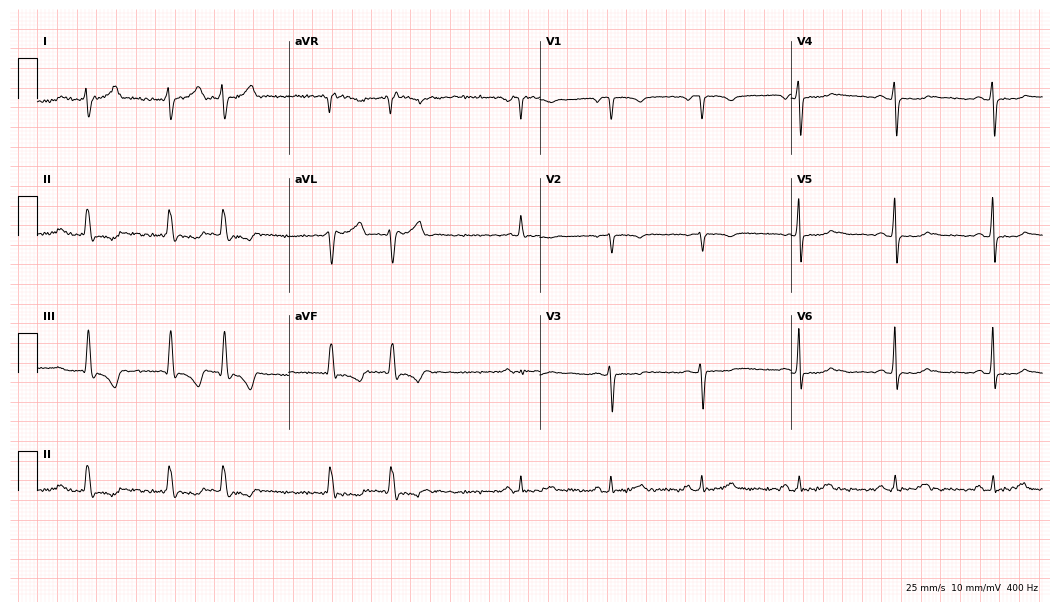
12-lead ECG from a 53-year-old woman (10.2-second recording at 400 Hz). Shows atrial fibrillation.